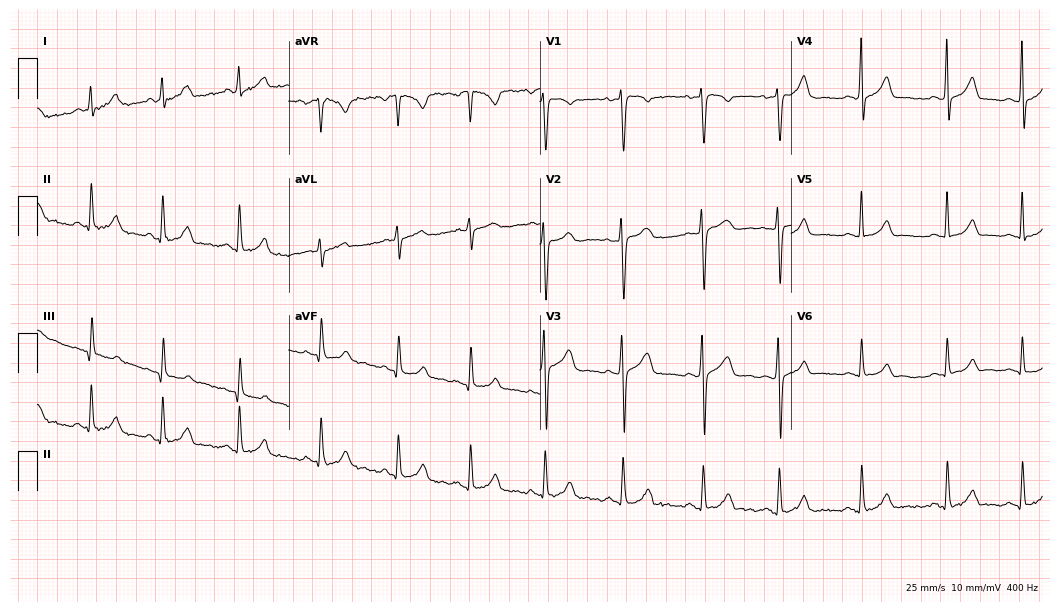
12-lead ECG from a woman, 34 years old. Labelled as a normal ECG.